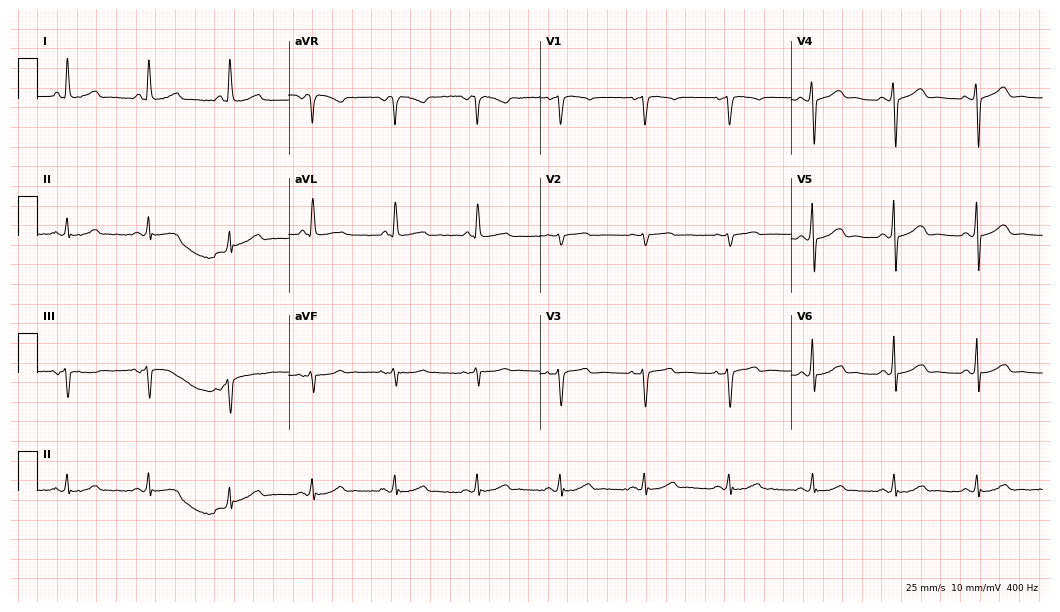
Electrocardiogram (10.2-second recording at 400 Hz), a woman, 69 years old. Overall reading on record: normal ECG.